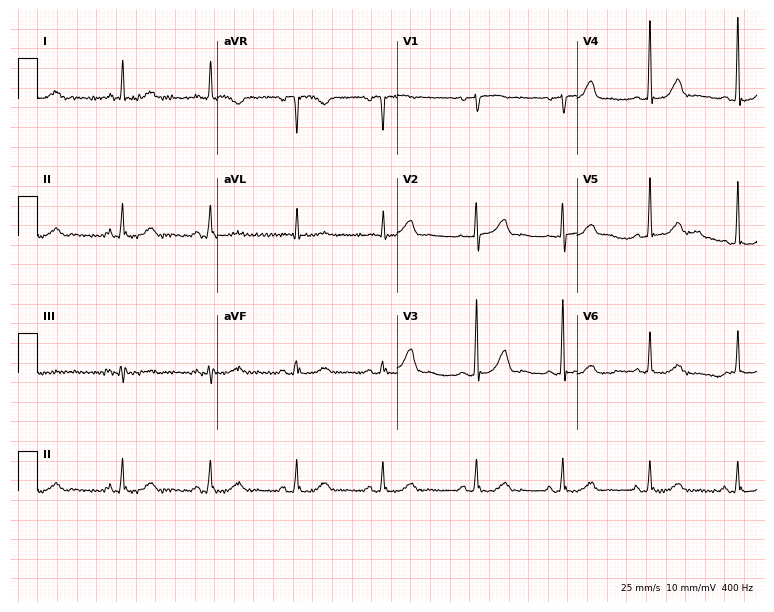
Standard 12-lead ECG recorded from an 80-year-old female patient. Read as a normal ECG.